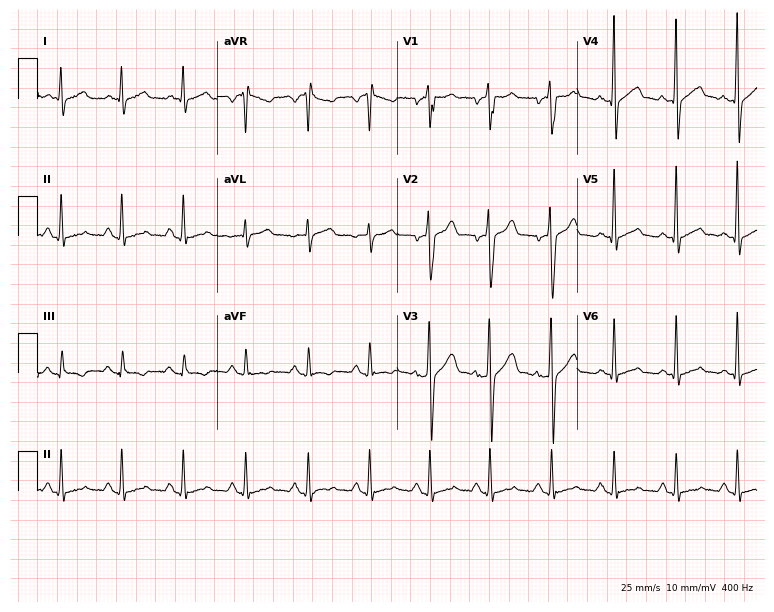
Standard 12-lead ECG recorded from a male, 46 years old. None of these six findings is recorded: first-degree AV block, right bundle branch block, left bundle branch block, sinus bradycardia, atrial fibrillation, sinus tachycardia.